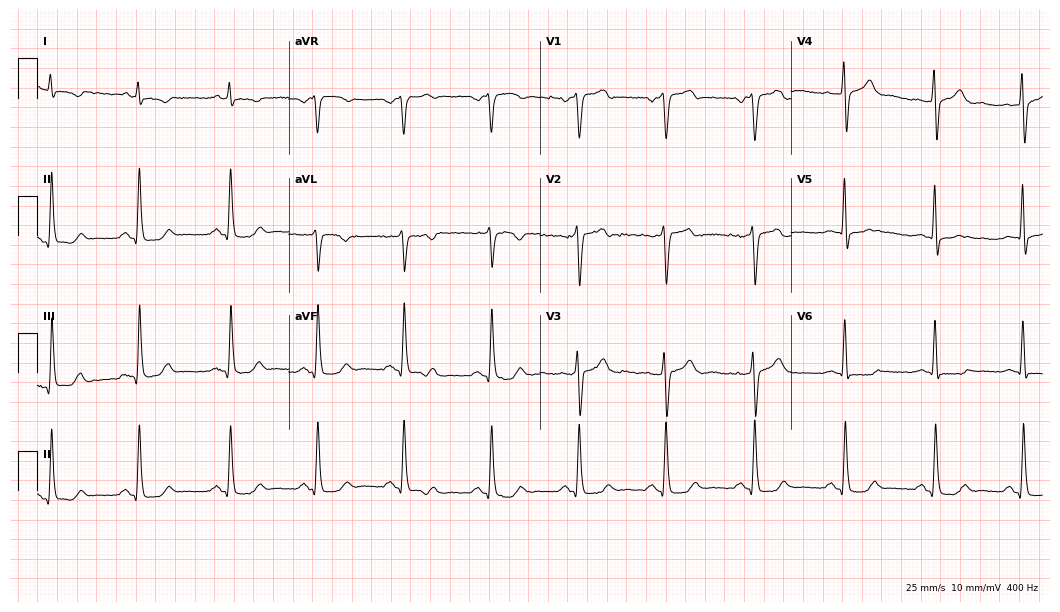
12-lead ECG from a male, 60 years old. No first-degree AV block, right bundle branch block, left bundle branch block, sinus bradycardia, atrial fibrillation or sinus tachycardia recorded for this tracing. Other findings, if any, are not listed.